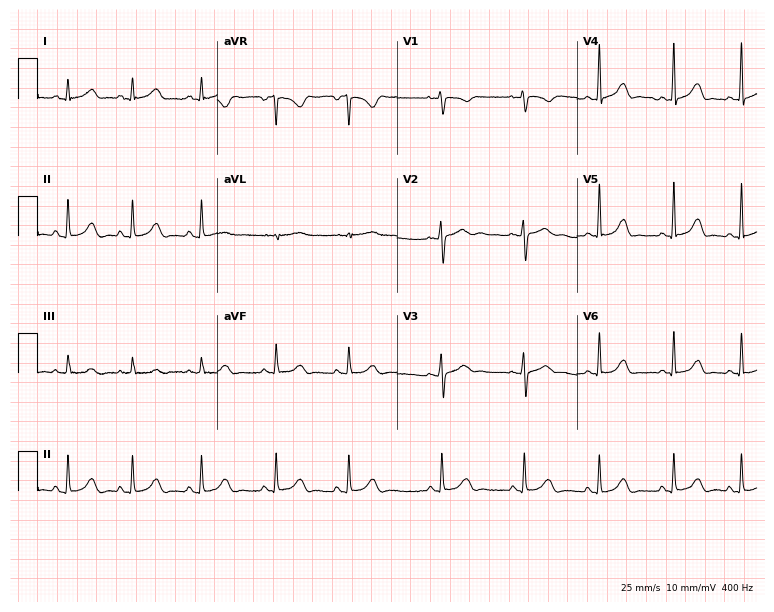
Electrocardiogram, a 22-year-old woman. Overall reading on record: normal ECG.